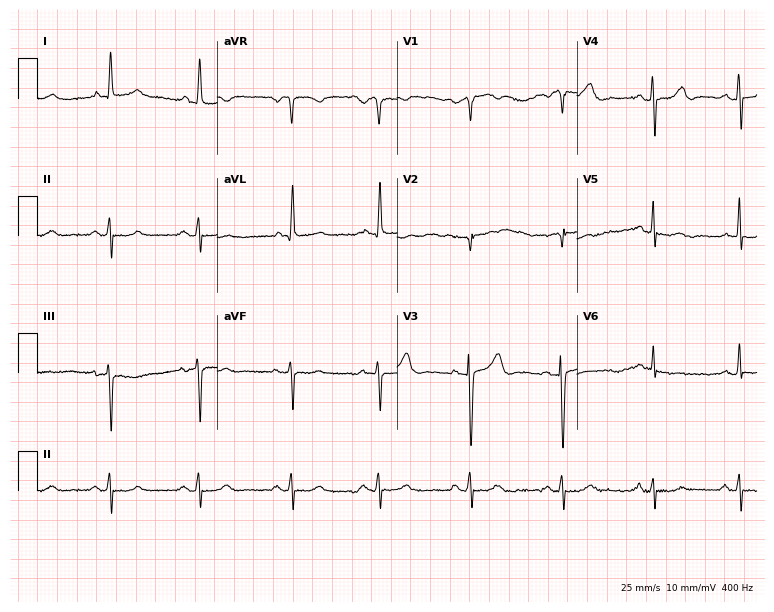
ECG — a 70-year-old woman. Screened for six findings — first-degree AV block, right bundle branch block, left bundle branch block, sinus bradycardia, atrial fibrillation, sinus tachycardia — none is recorded. Only these six findings were labelled.